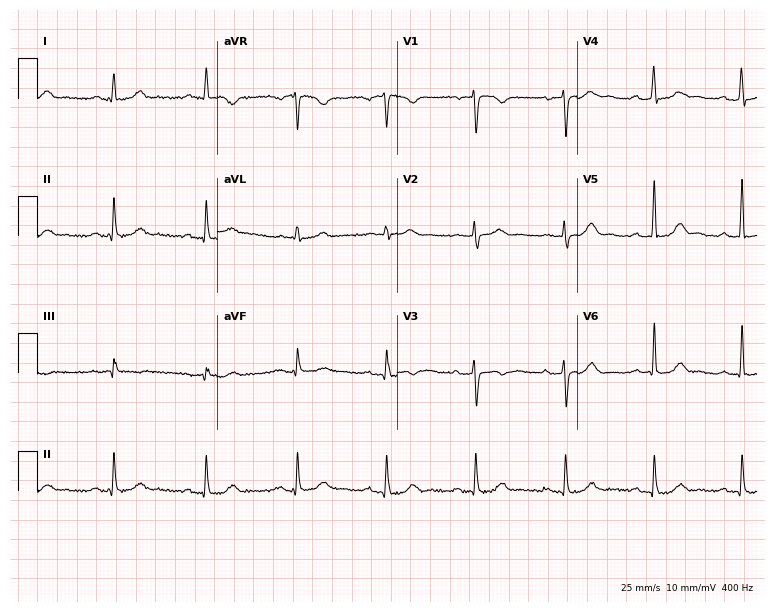
ECG — a 55-year-old male. Screened for six findings — first-degree AV block, right bundle branch block, left bundle branch block, sinus bradycardia, atrial fibrillation, sinus tachycardia — none is recorded.